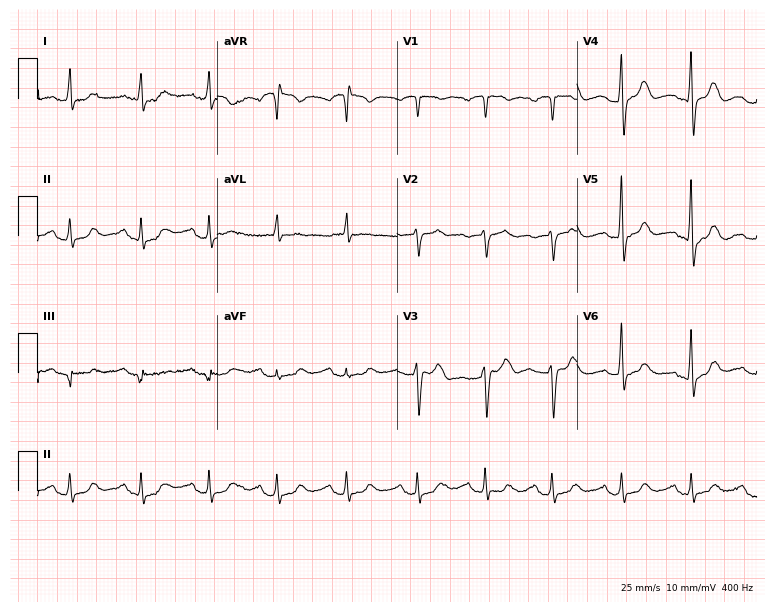
ECG (7.3-second recording at 400 Hz) — a 70-year-old female. Screened for six findings — first-degree AV block, right bundle branch block (RBBB), left bundle branch block (LBBB), sinus bradycardia, atrial fibrillation (AF), sinus tachycardia — none is recorded.